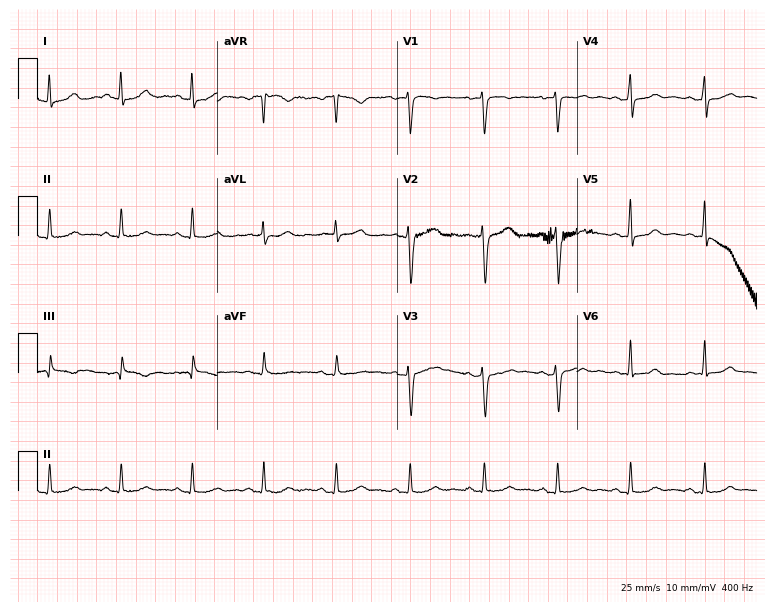
12-lead ECG from a 46-year-old female. Recorded interpretation: within normal limits.